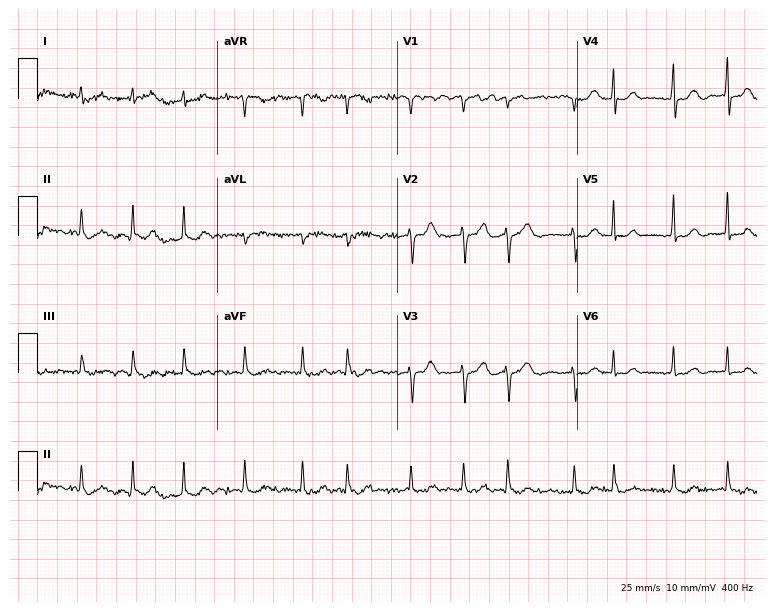
Resting 12-lead electrocardiogram (7.3-second recording at 400 Hz). Patient: a female, 81 years old. The tracing shows atrial fibrillation.